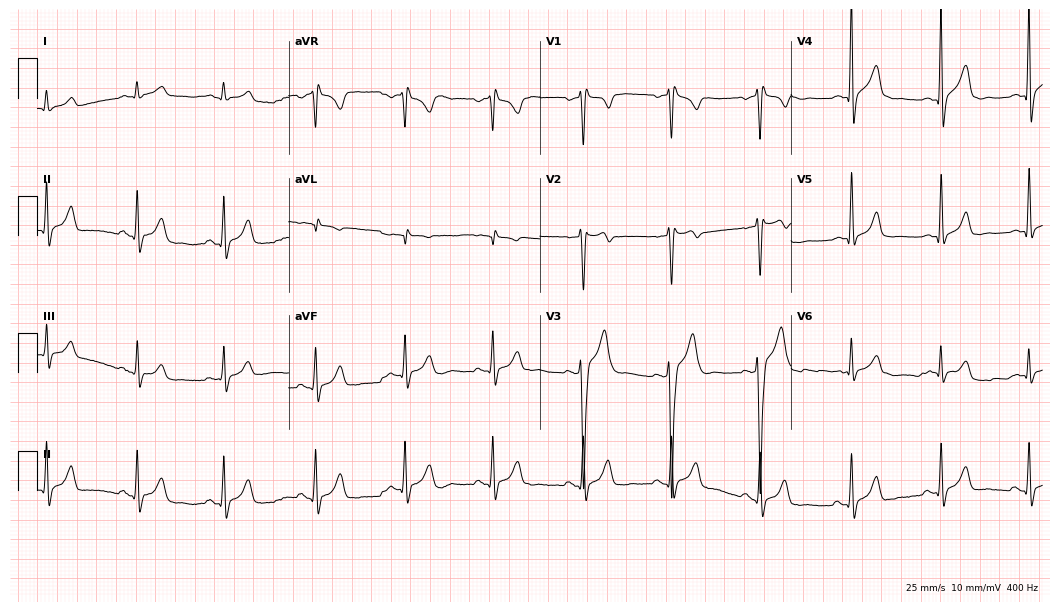
Electrocardiogram, a man, 43 years old. Of the six screened findings (first-degree AV block, right bundle branch block, left bundle branch block, sinus bradycardia, atrial fibrillation, sinus tachycardia), none is recorded. Findings outside these six are not listed.